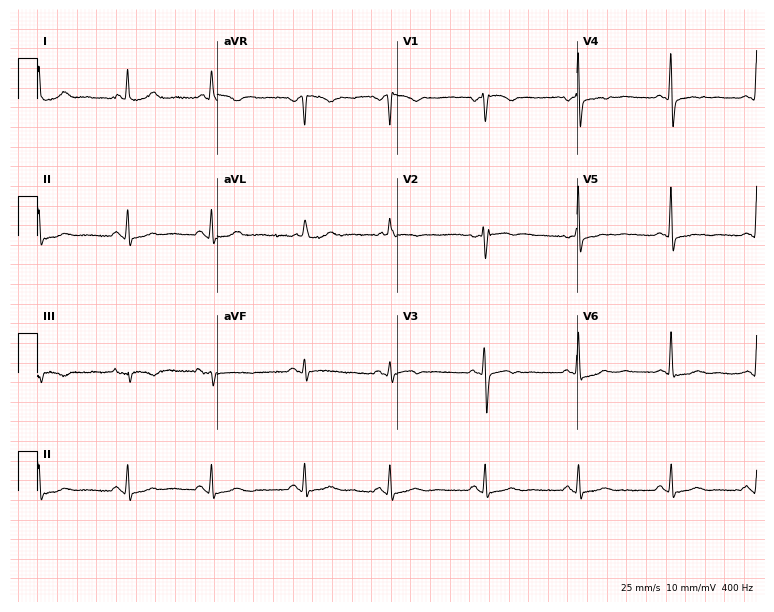
12-lead ECG from a female, 51 years old. No first-degree AV block, right bundle branch block, left bundle branch block, sinus bradycardia, atrial fibrillation or sinus tachycardia recorded for this tracing. Findings outside these six are not listed.